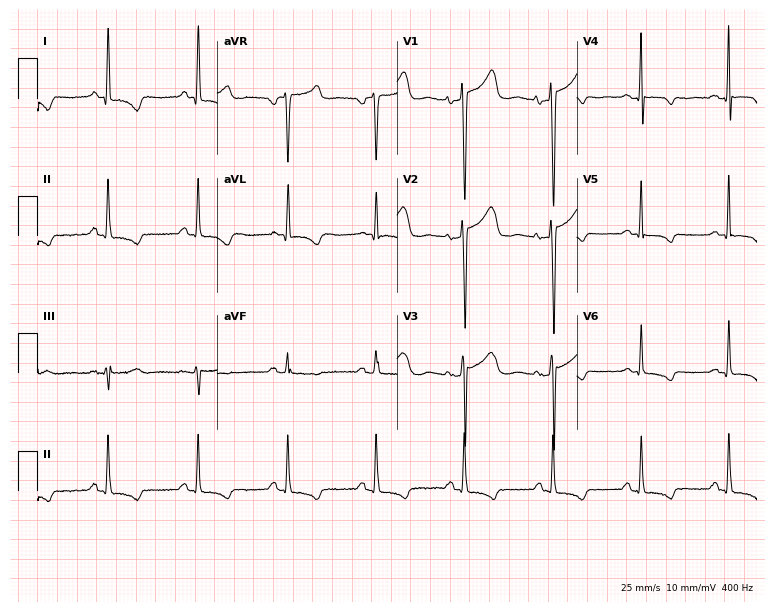
12-lead ECG from a female, 57 years old. No first-degree AV block, right bundle branch block, left bundle branch block, sinus bradycardia, atrial fibrillation or sinus tachycardia recorded for this tracing.